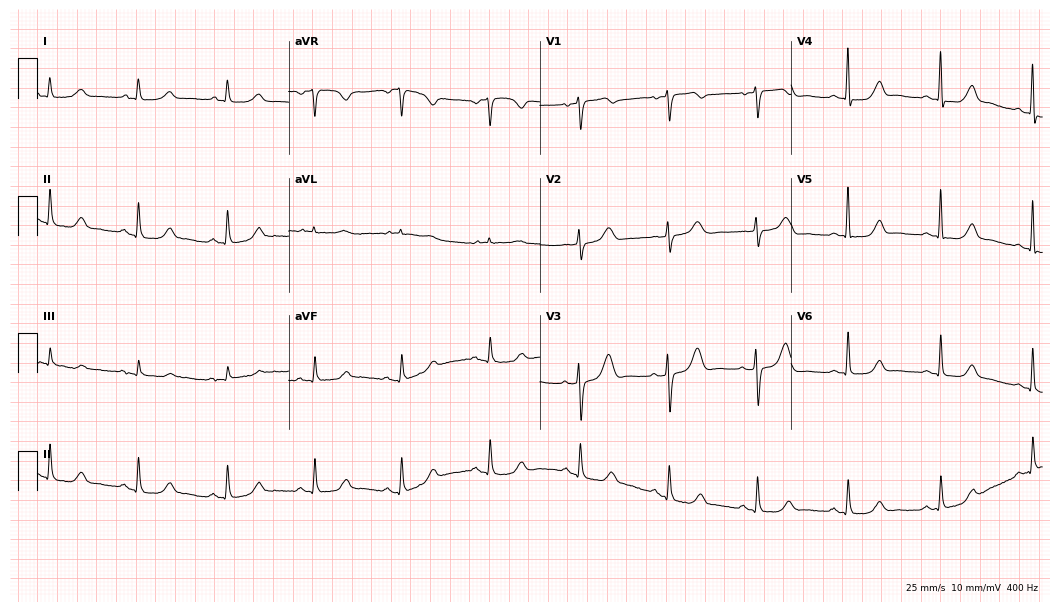
ECG — a 67-year-old female patient. Labelled as a normal ECG.